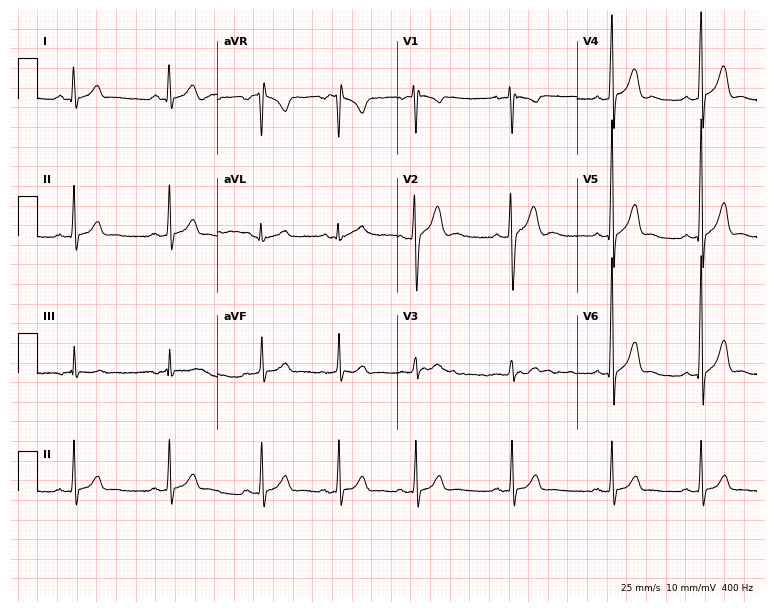
Electrocardiogram (7.3-second recording at 400 Hz), a man, 17 years old. Overall reading on record: normal ECG.